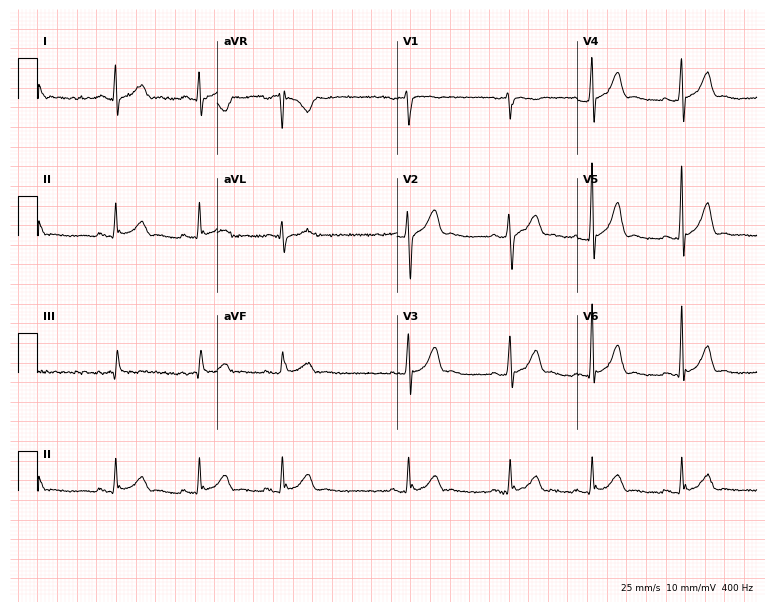
Standard 12-lead ECG recorded from a man, 39 years old (7.3-second recording at 400 Hz). Read as a normal ECG.